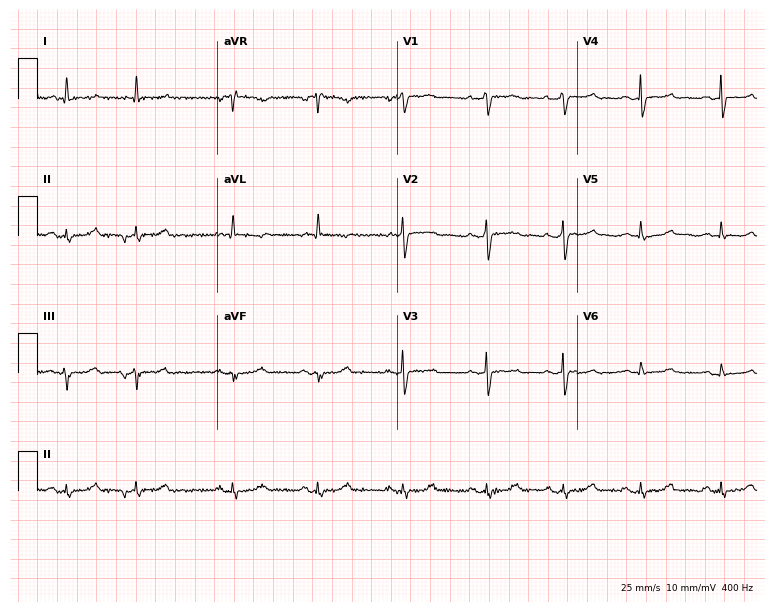
Resting 12-lead electrocardiogram (7.3-second recording at 400 Hz). Patient: a woman, 62 years old. None of these six findings is recorded: first-degree AV block, right bundle branch block, left bundle branch block, sinus bradycardia, atrial fibrillation, sinus tachycardia.